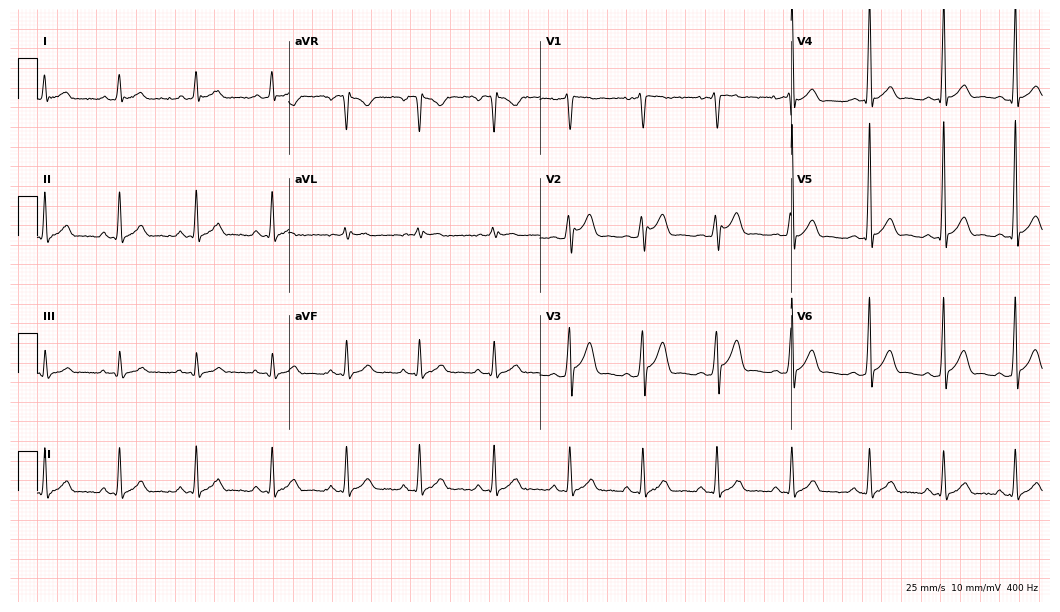
ECG (10.2-second recording at 400 Hz) — a male, 24 years old. Screened for six findings — first-degree AV block, right bundle branch block (RBBB), left bundle branch block (LBBB), sinus bradycardia, atrial fibrillation (AF), sinus tachycardia — none is recorded.